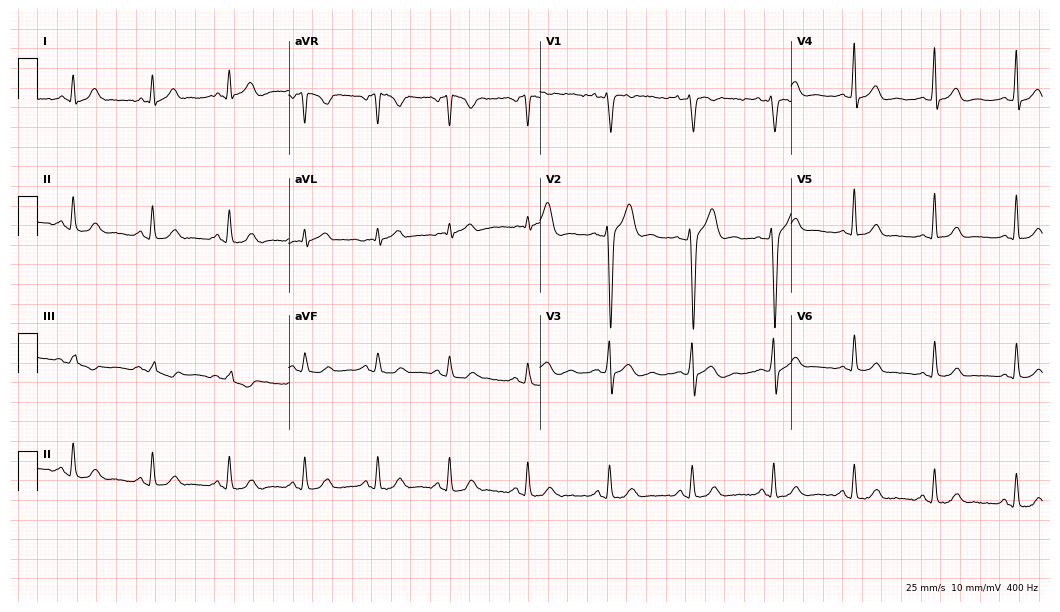
Resting 12-lead electrocardiogram (10.2-second recording at 400 Hz). Patient: a male, 34 years old. Read as a normal ECG.